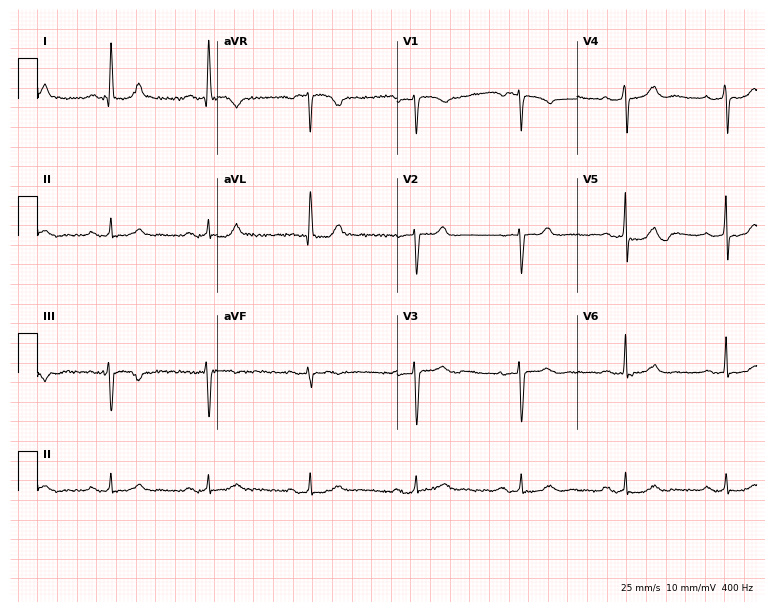
Standard 12-lead ECG recorded from a man, 84 years old (7.3-second recording at 400 Hz). None of these six findings is recorded: first-degree AV block, right bundle branch block, left bundle branch block, sinus bradycardia, atrial fibrillation, sinus tachycardia. Other findings, if any, are not listed.